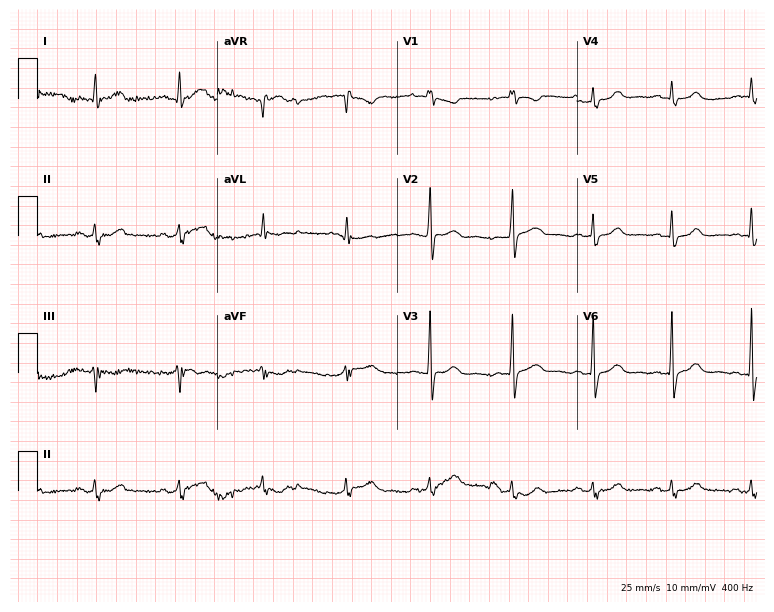
Standard 12-lead ECG recorded from a female patient, 55 years old (7.3-second recording at 400 Hz). Read as a normal ECG.